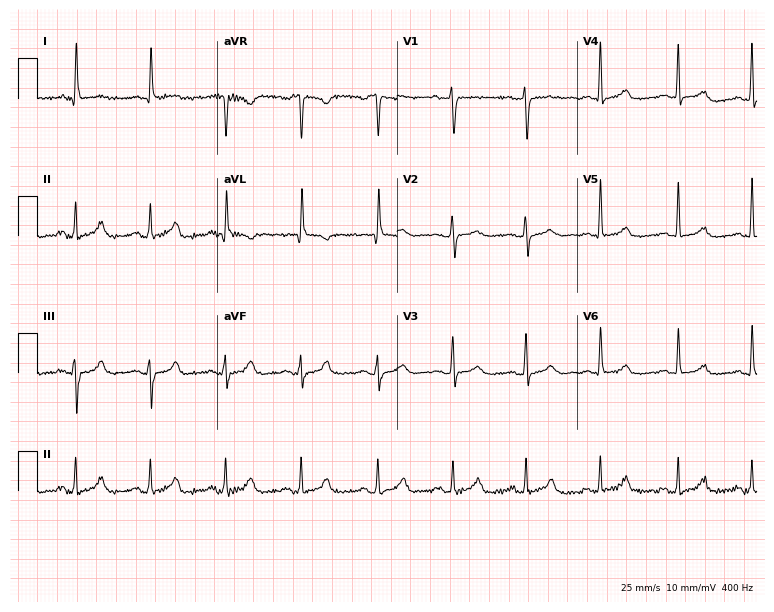
ECG (7.3-second recording at 400 Hz) — a 70-year-old female. Screened for six findings — first-degree AV block, right bundle branch block, left bundle branch block, sinus bradycardia, atrial fibrillation, sinus tachycardia — none is recorded.